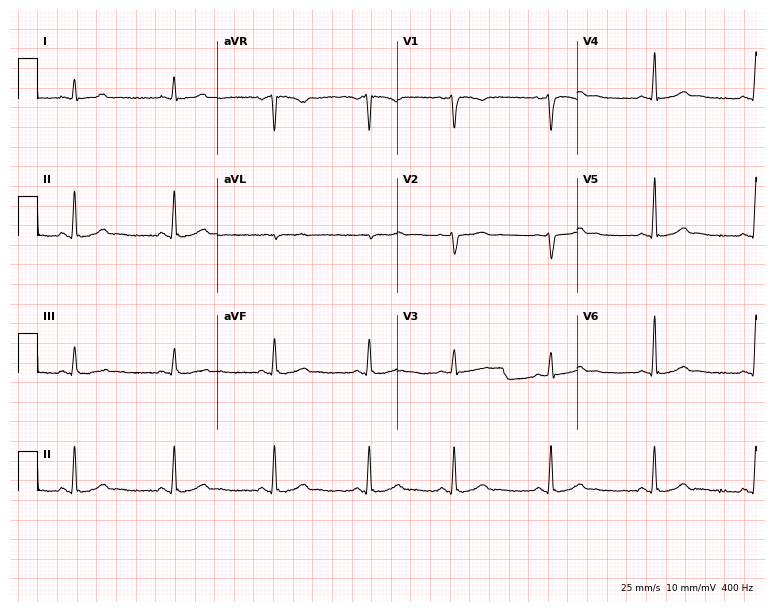
Electrocardiogram (7.3-second recording at 400 Hz), a woman, 34 years old. Overall reading on record: normal ECG.